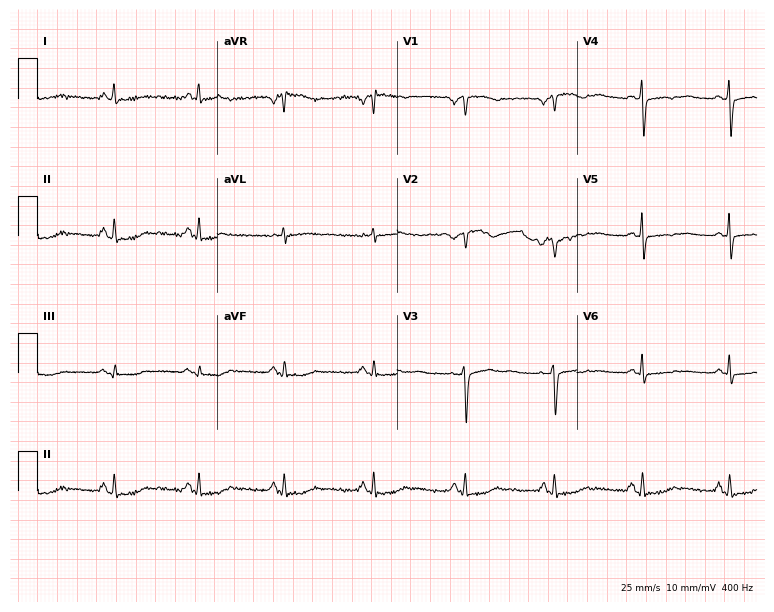
ECG — a 62-year-old woman. Screened for six findings — first-degree AV block, right bundle branch block, left bundle branch block, sinus bradycardia, atrial fibrillation, sinus tachycardia — none is recorded. Other findings, if any, are not listed.